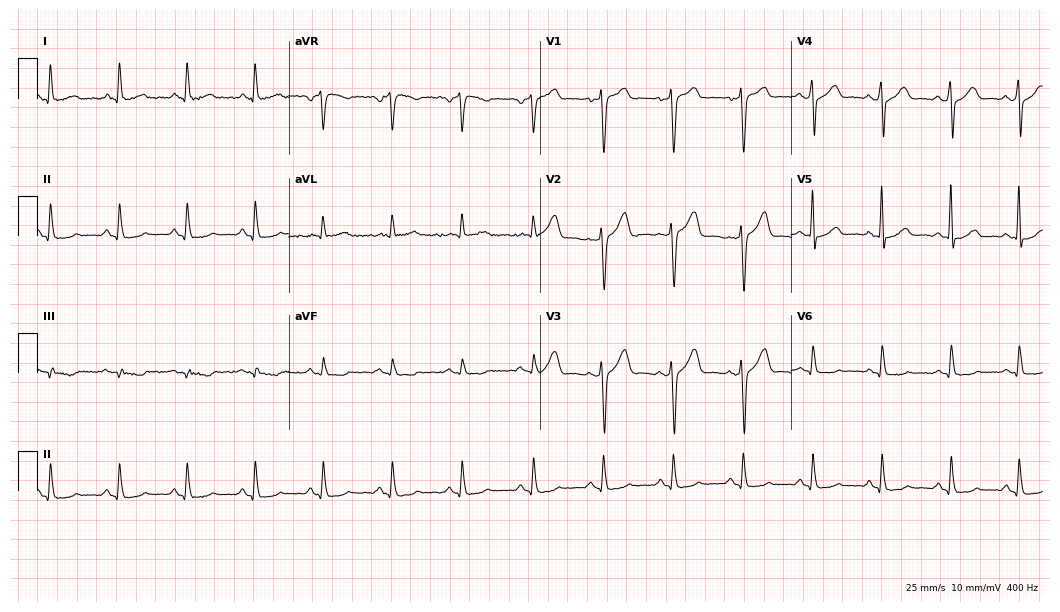
Electrocardiogram, a 56-year-old male. Overall reading on record: normal ECG.